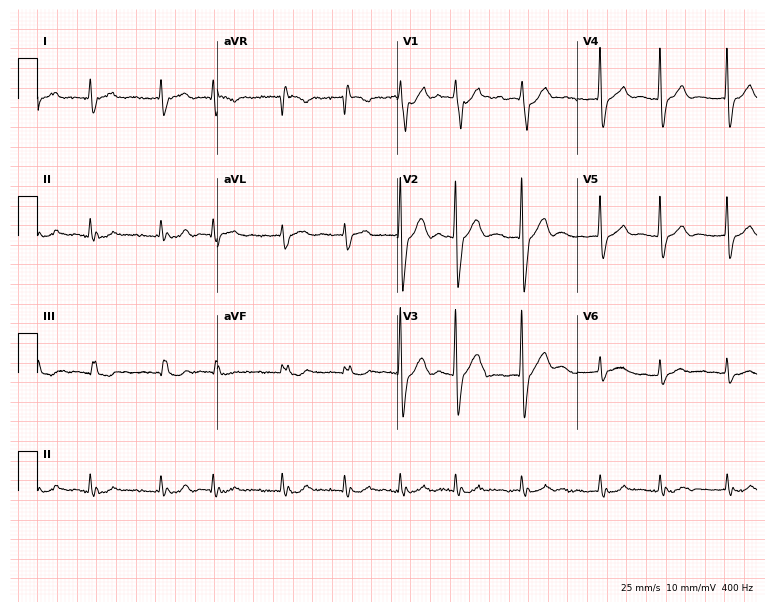
ECG — an 82-year-old man. Findings include atrial fibrillation.